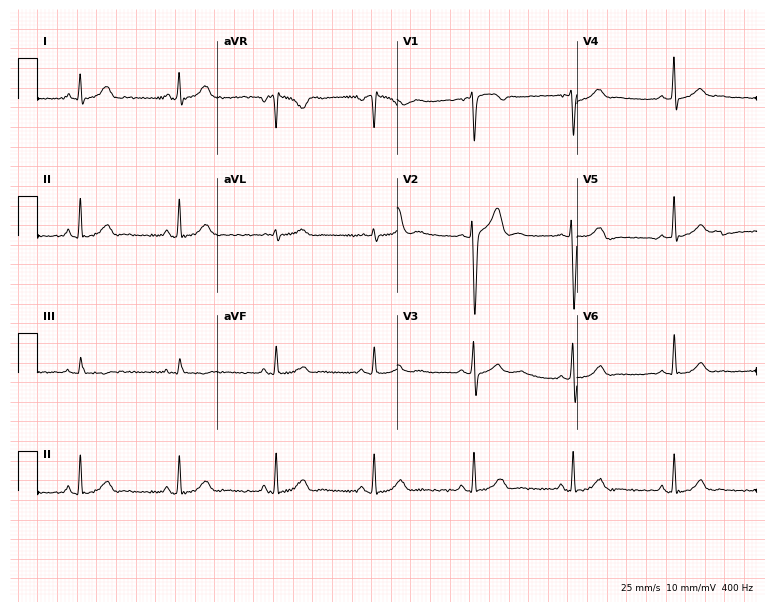
Resting 12-lead electrocardiogram. Patient: a 28-year-old man. None of these six findings is recorded: first-degree AV block, right bundle branch block (RBBB), left bundle branch block (LBBB), sinus bradycardia, atrial fibrillation (AF), sinus tachycardia.